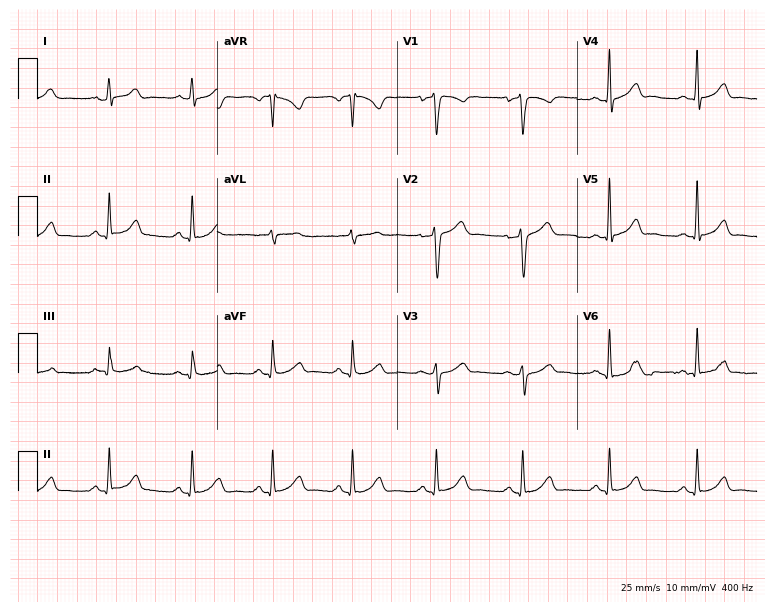
Resting 12-lead electrocardiogram. Patient: a male, 35 years old. Read as a normal ECG.